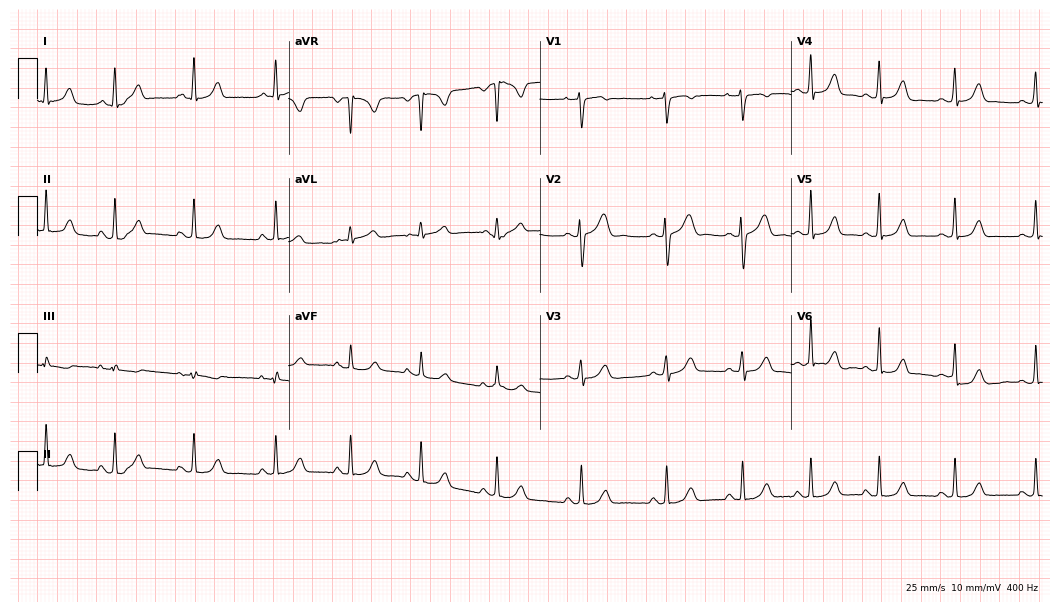
Resting 12-lead electrocardiogram (10.2-second recording at 400 Hz). Patient: a 24-year-old female. Read as a normal ECG.